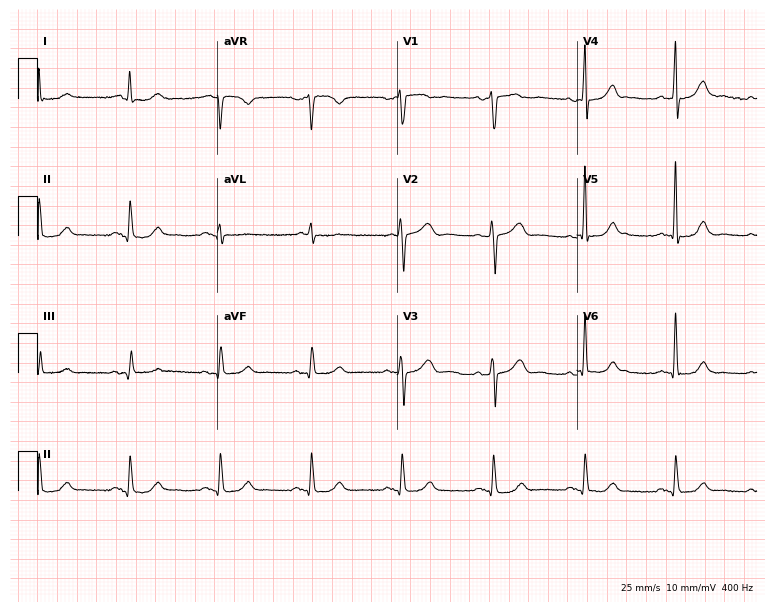
Standard 12-lead ECG recorded from a 74-year-old male (7.3-second recording at 400 Hz). Read as a normal ECG.